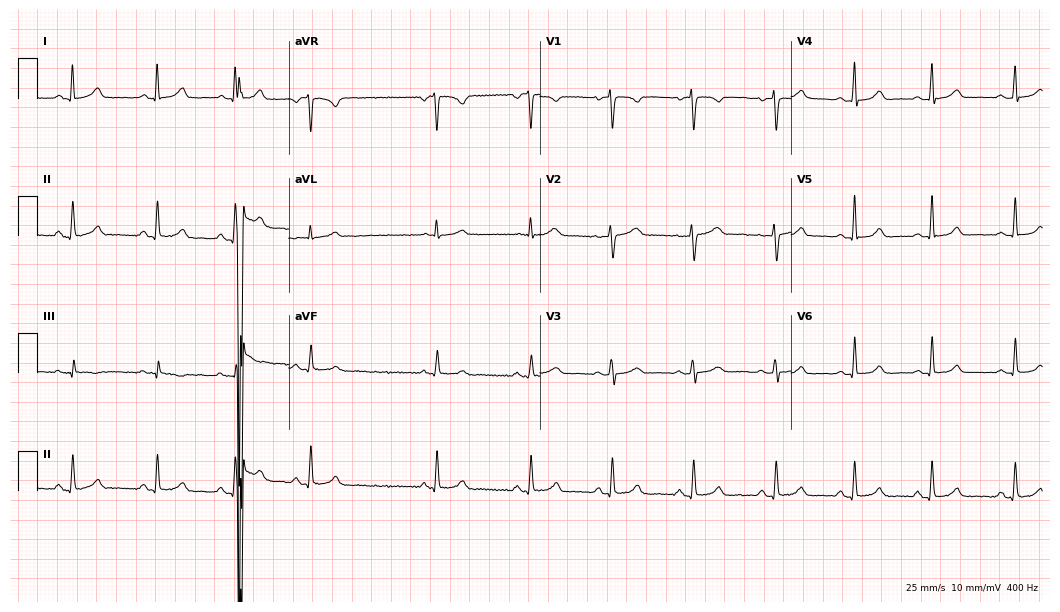
12-lead ECG from a woman, 31 years old. Recorded interpretation: within normal limits.